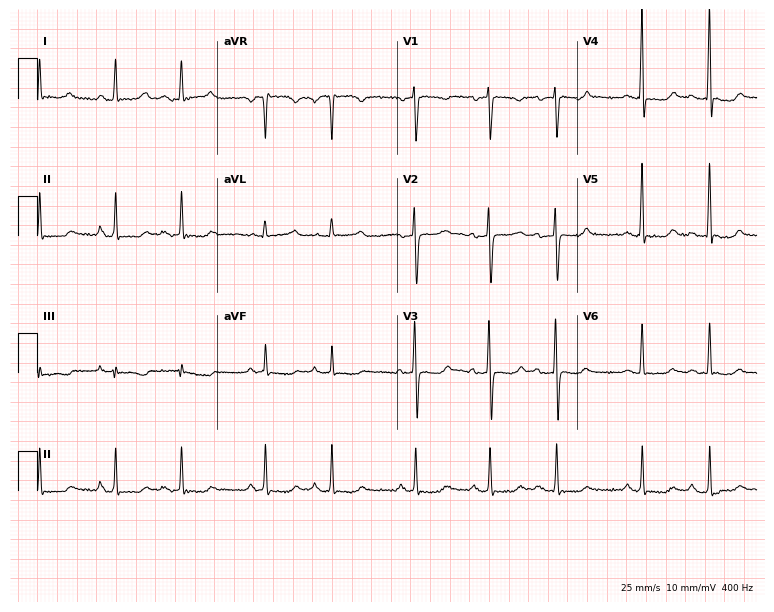
Resting 12-lead electrocardiogram. Patient: a 68-year-old woman. None of these six findings is recorded: first-degree AV block, right bundle branch block, left bundle branch block, sinus bradycardia, atrial fibrillation, sinus tachycardia.